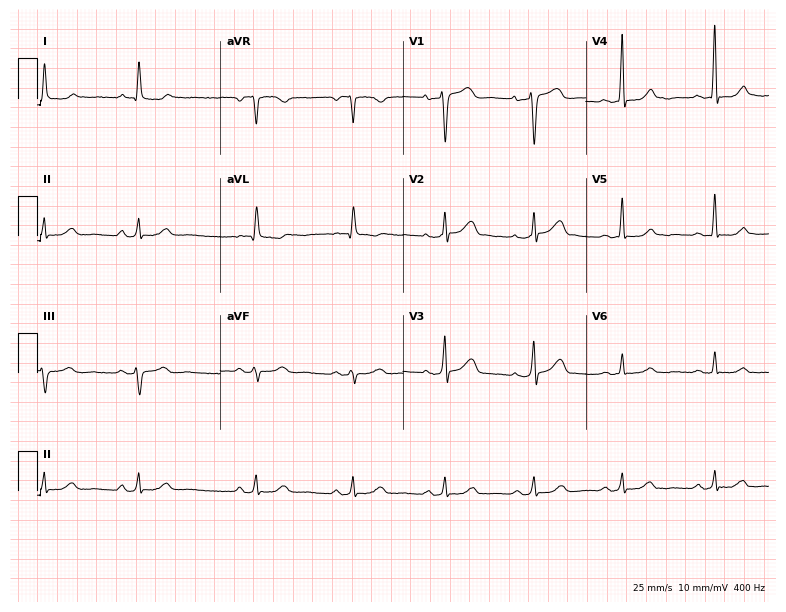
ECG — a 72-year-old female patient. Screened for six findings — first-degree AV block, right bundle branch block, left bundle branch block, sinus bradycardia, atrial fibrillation, sinus tachycardia — none is recorded. Findings outside these six are not listed.